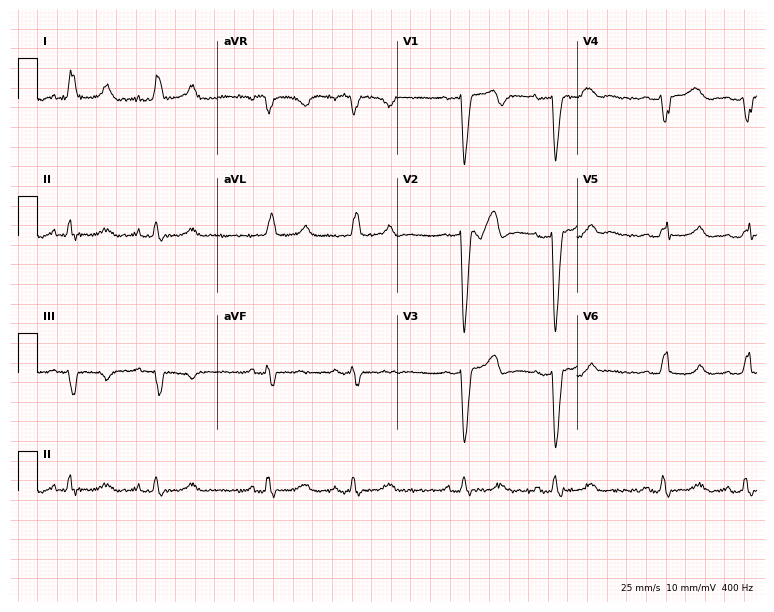
Standard 12-lead ECG recorded from a female patient, 59 years old. The tracing shows left bundle branch block (LBBB).